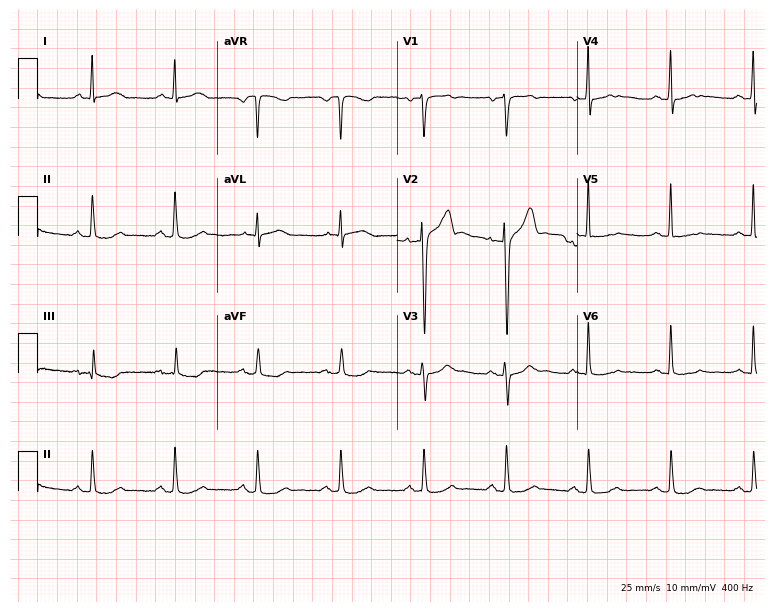
12-lead ECG from a 55-year-old man (7.3-second recording at 400 Hz). No first-degree AV block, right bundle branch block, left bundle branch block, sinus bradycardia, atrial fibrillation or sinus tachycardia recorded for this tracing.